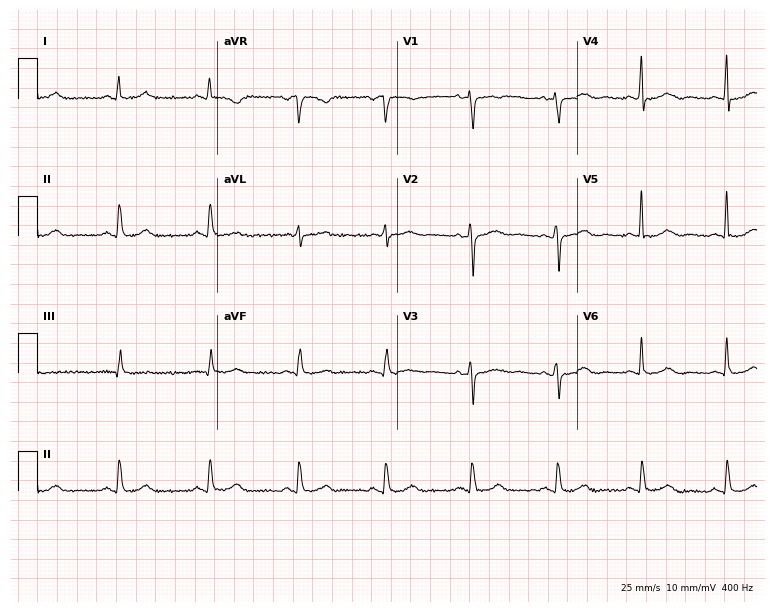
Resting 12-lead electrocardiogram. Patient: a 57-year-old woman. Read as a normal ECG.